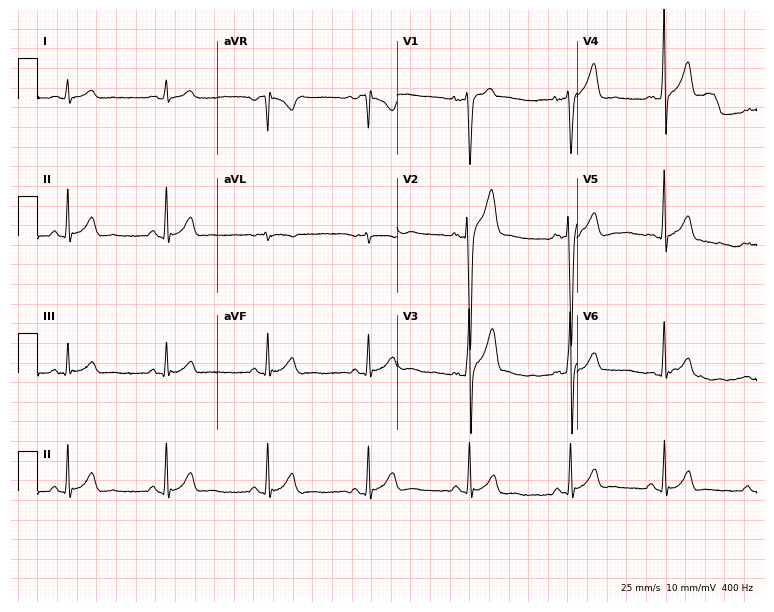
Electrocardiogram (7.3-second recording at 400 Hz), a man, 30 years old. Of the six screened findings (first-degree AV block, right bundle branch block, left bundle branch block, sinus bradycardia, atrial fibrillation, sinus tachycardia), none is recorded. Other findings, if any, are not listed.